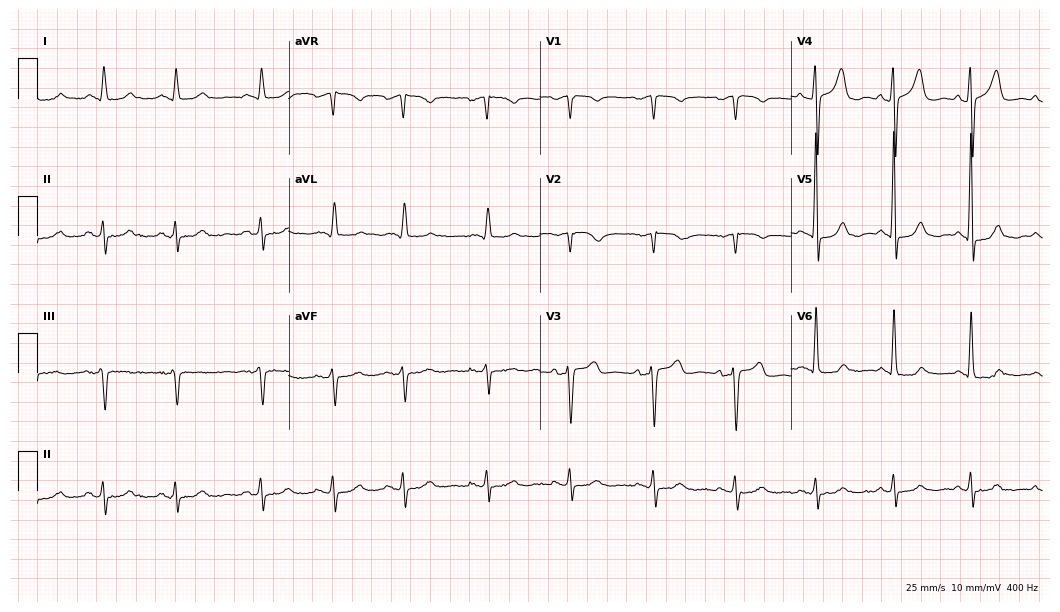
Electrocardiogram (10.2-second recording at 400 Hz), a man, 79 years old. Of the six screened findings (first-degree AV block, right bundle branch block, left bundle branch block, sinus bradycardia, atrial fibrillation, sinus tachycardia), none is recorded.